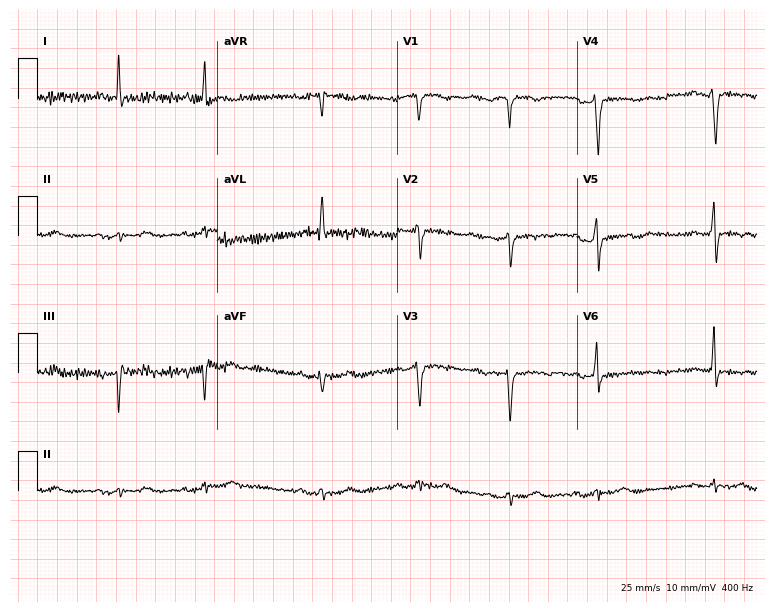
Standard 12-lead ECG recorded from a female, 71 years old (7.3-second recording at 400 Hz). None of these six findings is recorded: first-degree AV block, right bundle branch block, left bundle branch block, sinus bradycardia, atrial fibrillation, sinus tachycardia.